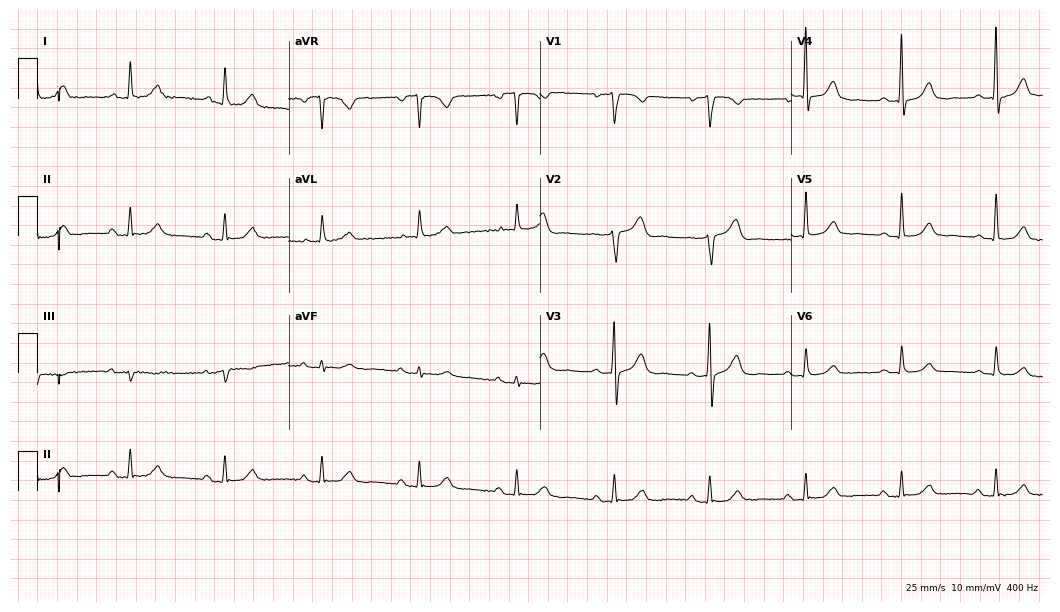
ECG — an 82-year-old woman. Labelled as a normal ECG.